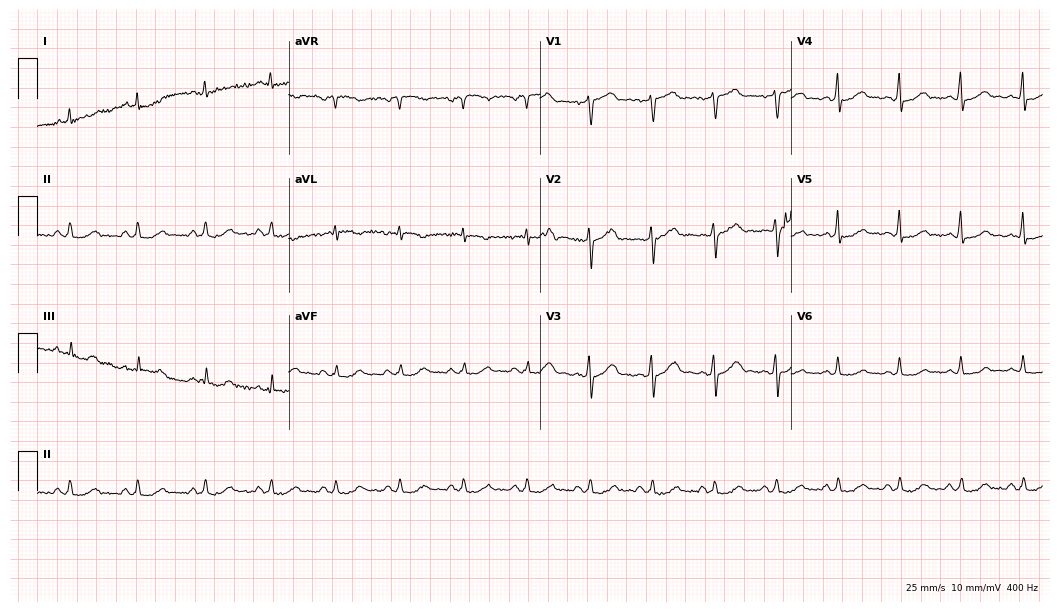
12-lead ECG from a man, 48 years old. Recorded interpretation: within normal limits.